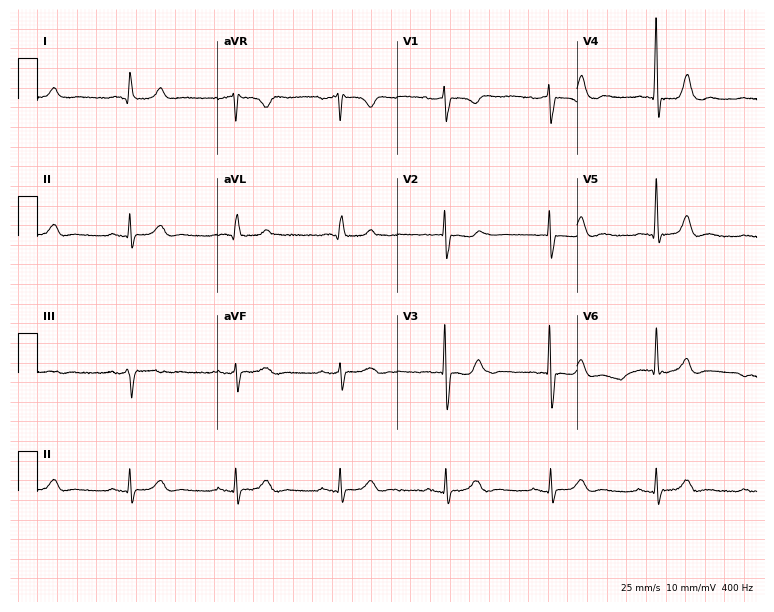
Resting 12-lead electrocardiogram. Patient: a woman, 83 years old. Read as a normal ECG.